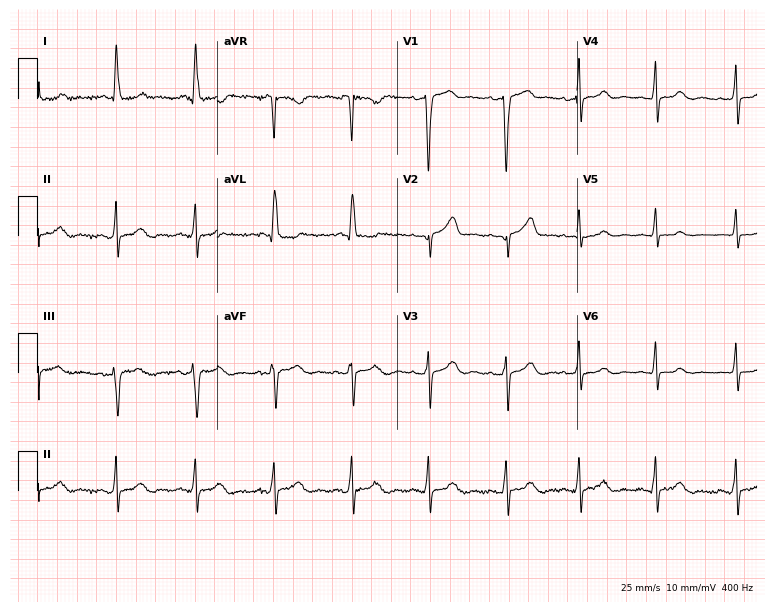
Resting 12-lead electrocardiogram (7.3-second recording at 400 Hz). Patient: a female, 84 years old. Read as a normal ECG.